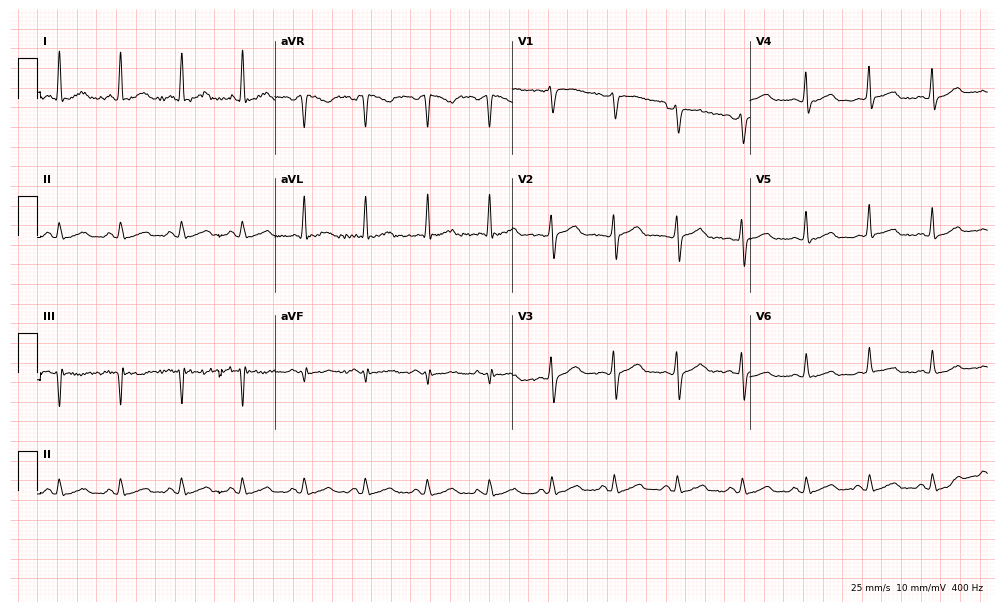
Standard 12-lead ECG recorded from a woman, 48 years old (9.7-second recording at 400 Hz). Read as a normal ECG.